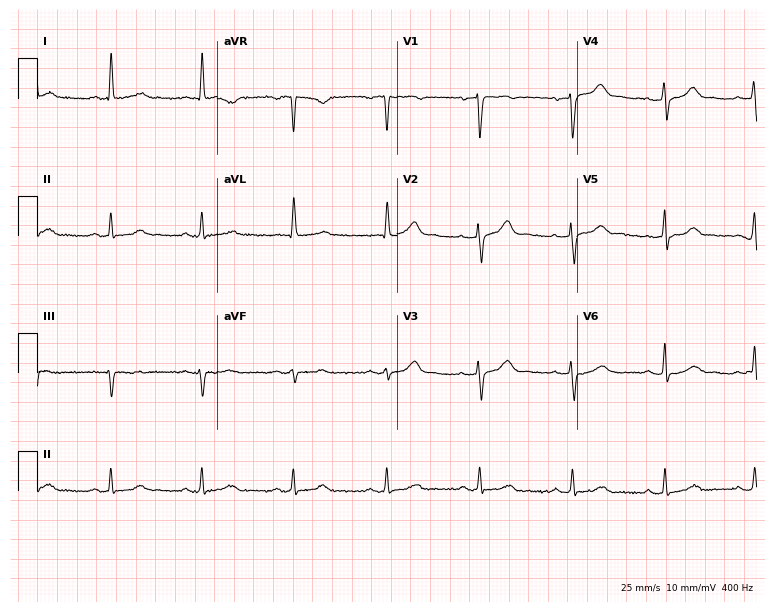
ECG — a 63-year-old male. Screened for six findings — first-degree AV block, right bundle branch block (RBBB), left bundle branch block (LBBB), sinus bradycardia, atrial fibrillation (AF), sinus tachycardia — none is recorded. Findings outside these six are not listed.